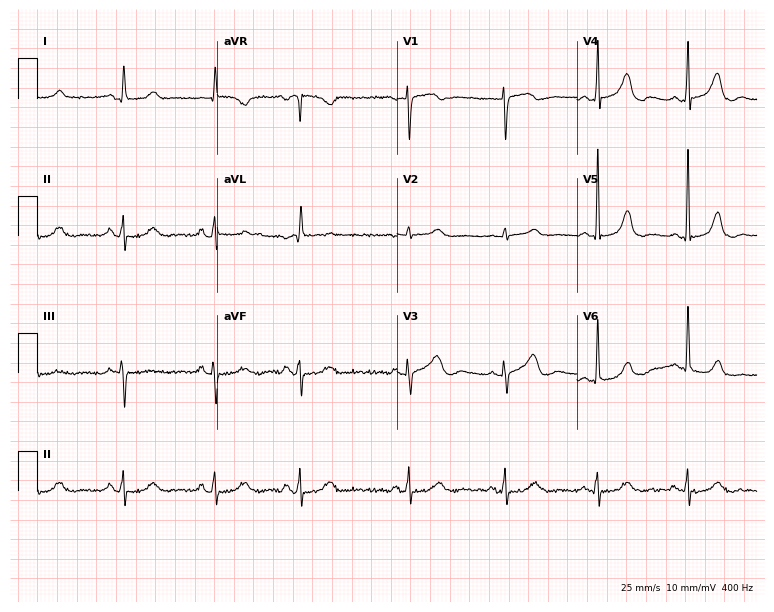
Electrocardiogram (7.3-second recording at 400 Hz), a 70-year-old woman. Overall reading on record: normal ECG.